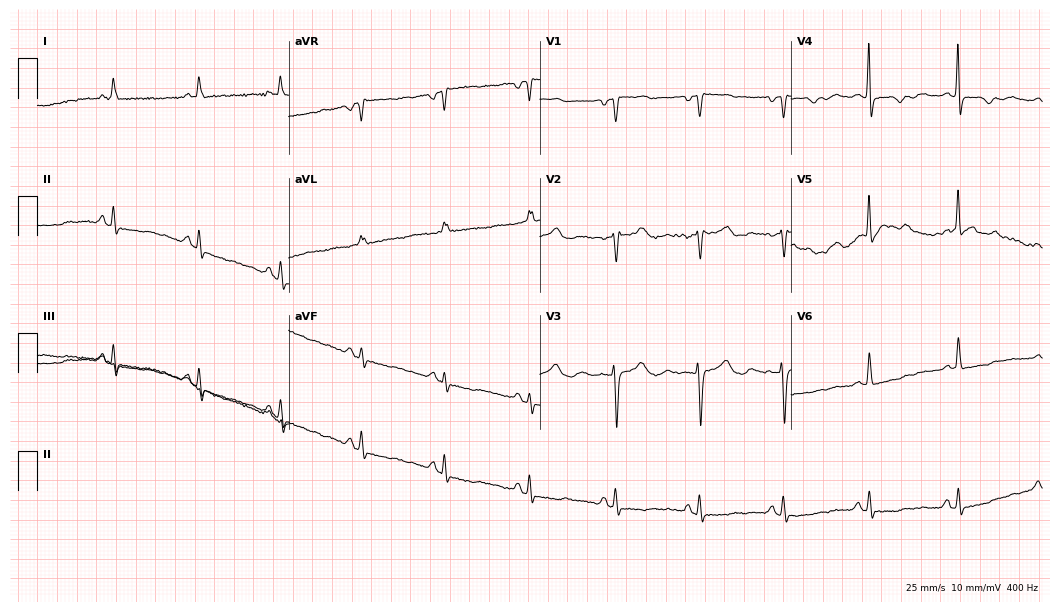
12-lead ECG from a woman, 69 years old (10.2-second recording at 400 Hz). No first-degree AV block, right bundle branch block (RBBB), left bundle branch block (LBBB), sinus bradycardia, atrial fibrillation (AF) or sinus tachycardia recorded for this tracing.